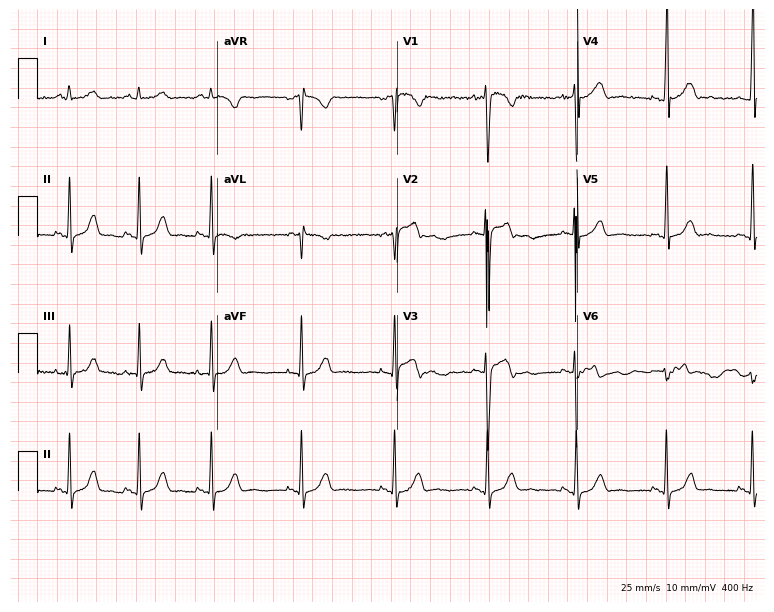
ECG (7.3-second recording at 400 Hz) — a man, 18 years old. Screened for six findings — first-degree AV block, right bundle branch block (RBBB), left bundle branch block (LBBB), sinus bradycardia, atrial fibrillation (AF), sinus tachycardia — none is recorded. Findings outside these six are not listed.